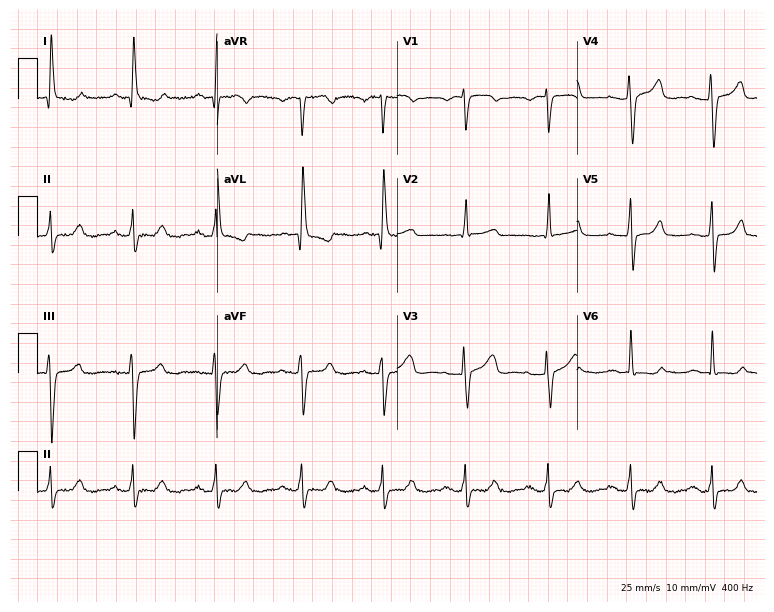
12-lead ECG from a 77-year-old woman. Recorded interpretation: within normal limits.